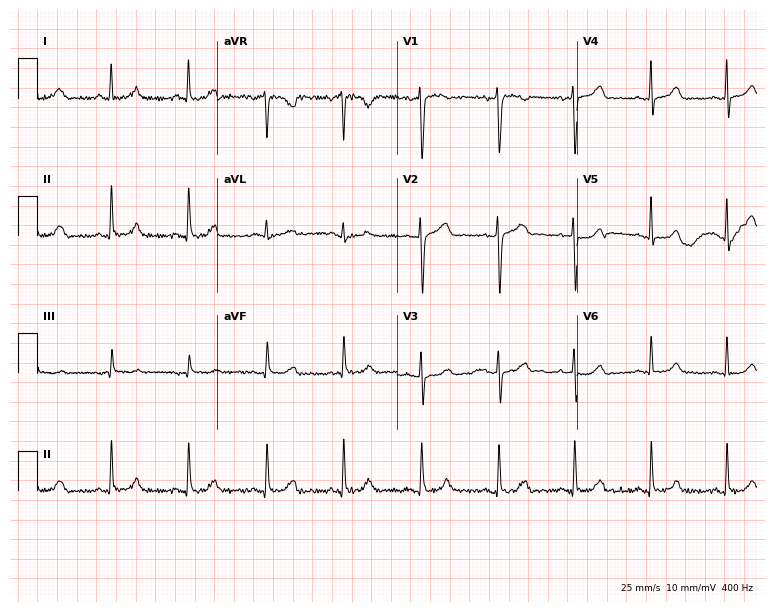
Standard 12-lead ECG recorded from a 42-year-old female patient (7.3-second recording at 400 Hz). None of these six findings is recorded: first-degree AV block, right bundle branch block, left bundle branch block, sinus bradycardia, atrial fibrillation, sinus tachycardia.